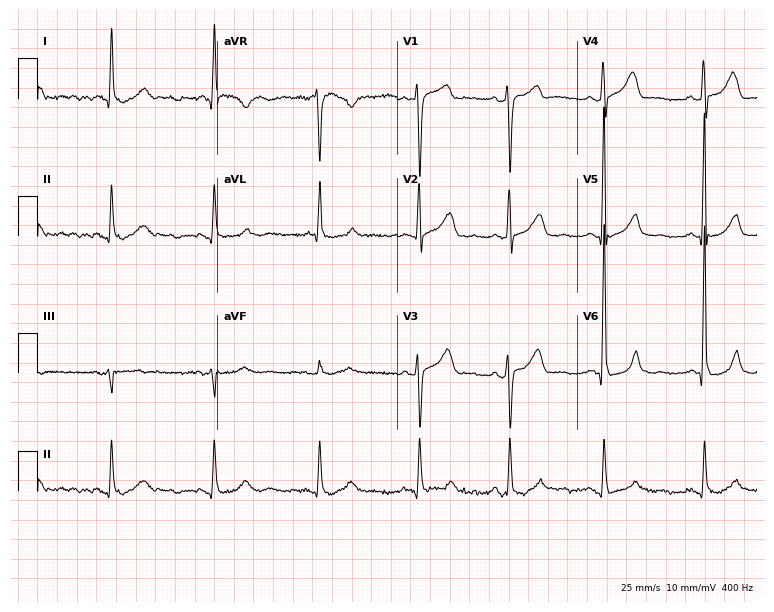
12-lead ECG from a male, 62 years old. No first-degree AV block, right bundle branch block, left bundle branch block, sinus bradycardia, atrial fibrillation or sinus tachycardia recorded for this tracing.